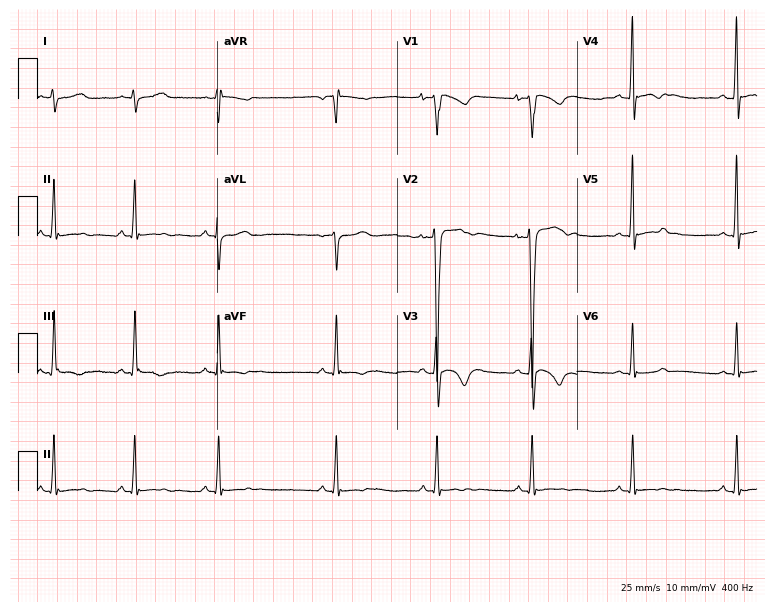
12-lead ECG from a 19-year-old male patient. Screened for six findings — first-degree AV block, right bundle branch block, left bundle branch block, sinus bradycardia, atrial fibrillation, sinus tachycardia — none is recorded. Only these six findings were labelled.